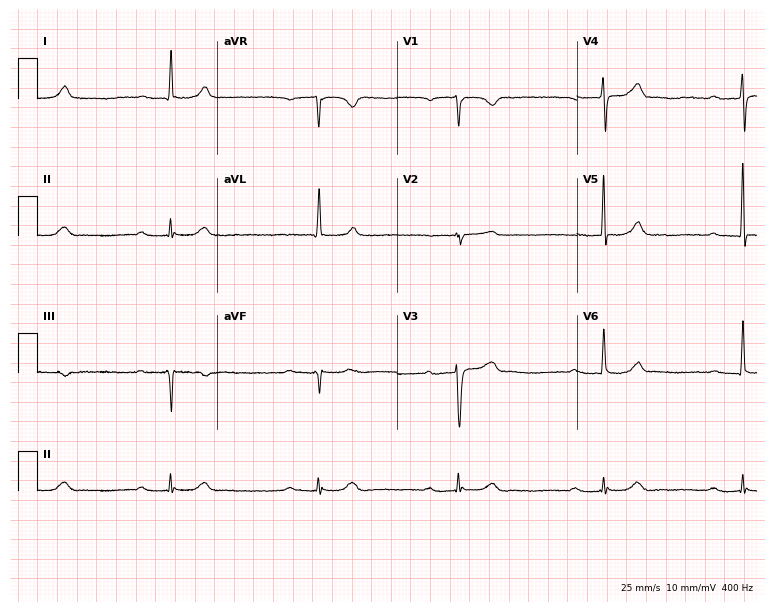
ECG — a 78-year-old male patient. Findings include first-degree AV block, sinus bradycardia (a sinus rate of 50 beats per minute or less).